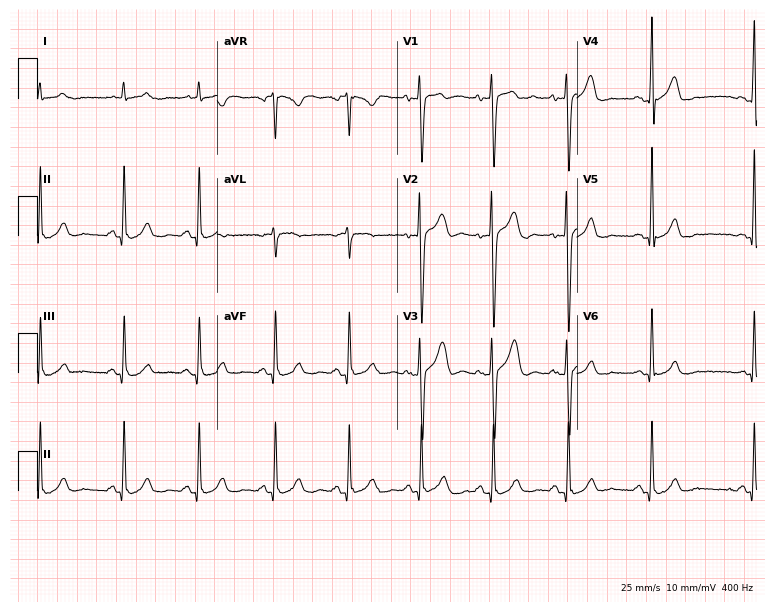
ECG (7.3-second recording at 400 Hz) — a man, 23 years old. Labelled as a normal ECG.